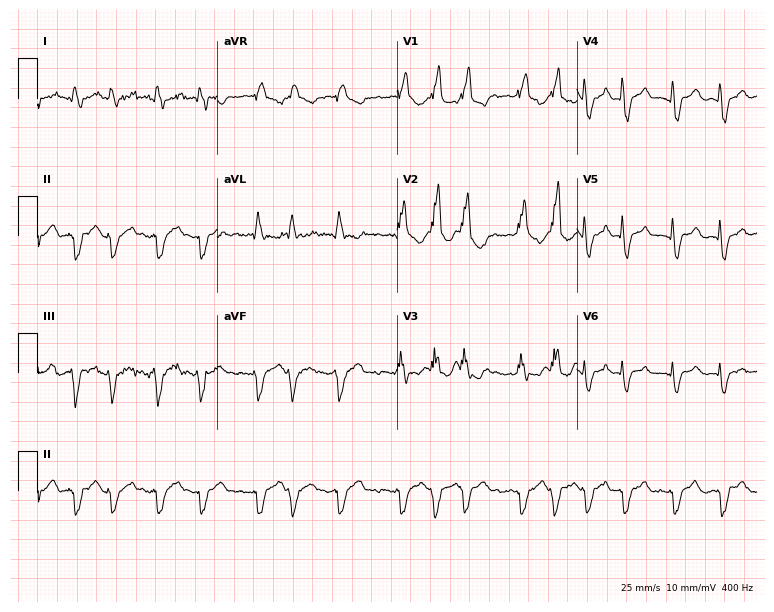
Resting 12-lead electrocardiogram (7.3-second recording at 400 Hz). Patient: a 58-year-old male. The tracing shows right bundle branch block, atrial fibrillation.